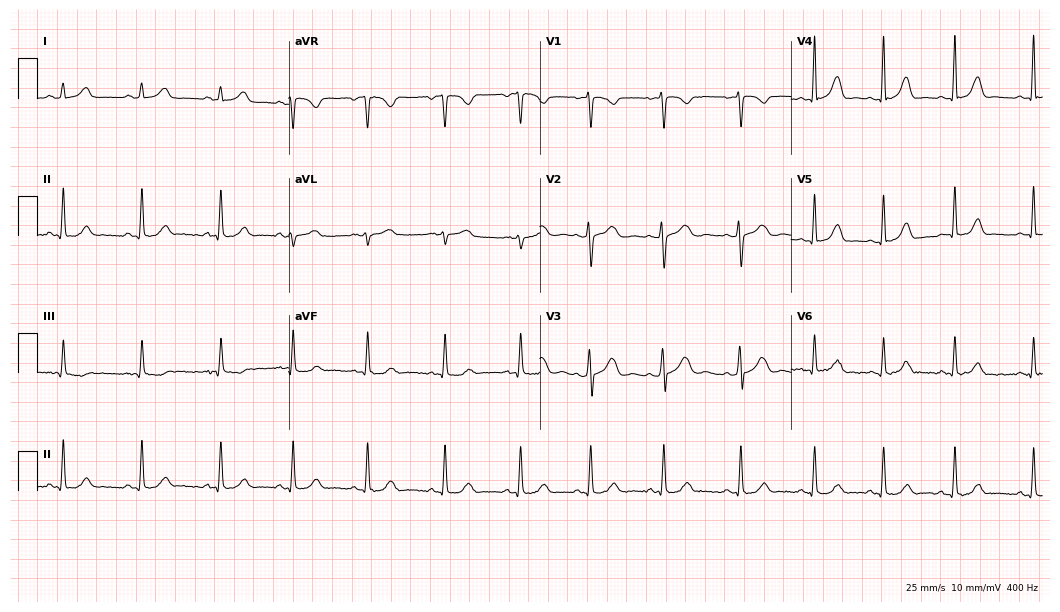
Resting 12-lead electrocardiogram. Patient: a 24-year-old female. Read as a normal ECG.